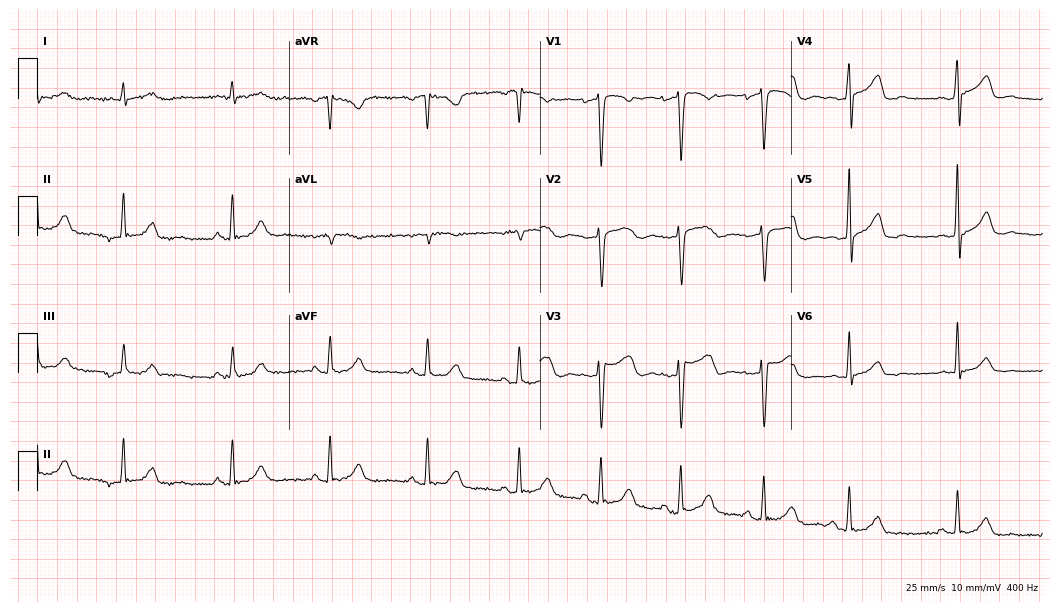
Standard 12-lead ECG recorded from a male patient, 72 years old (10.2-second recording at 400 Hz). Read as a normal ECG.